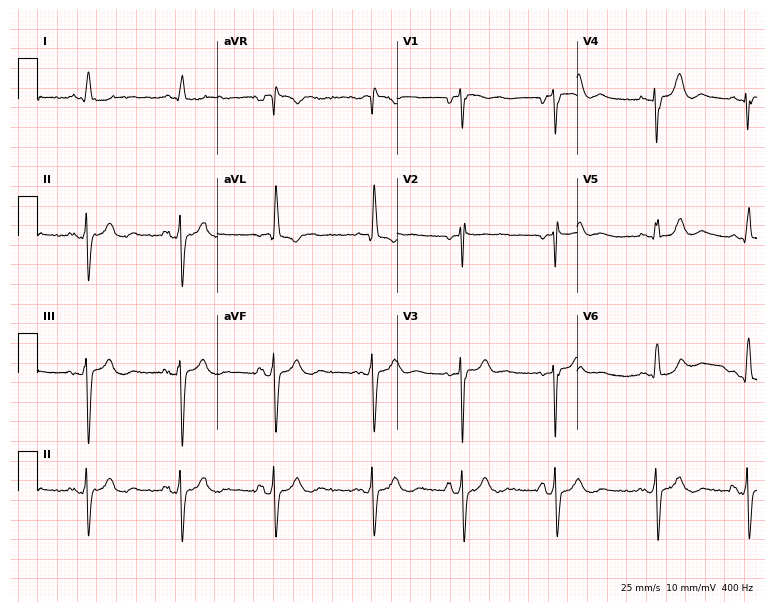
Standard 12-lead ECG recorded from a woman, 65 years old. None of these six findings is recorded: first-degree AV block, right bundle branch block, left bundle branch block, sinus bradycardia, atrial fibrillation, sinus tachycardia. Other findings, if any, are not listed.